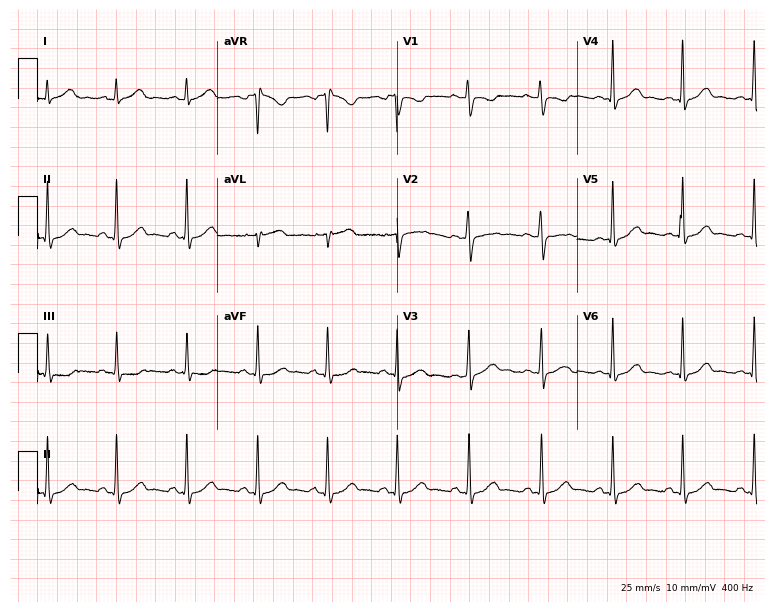
12-lead ECG from a 27-year-old female. No first-degree AV block, right bundle branch block, left bundle branch block, sinus bradycardia, atrial fibrillation or sinus tachycardia recorded for this tracing.